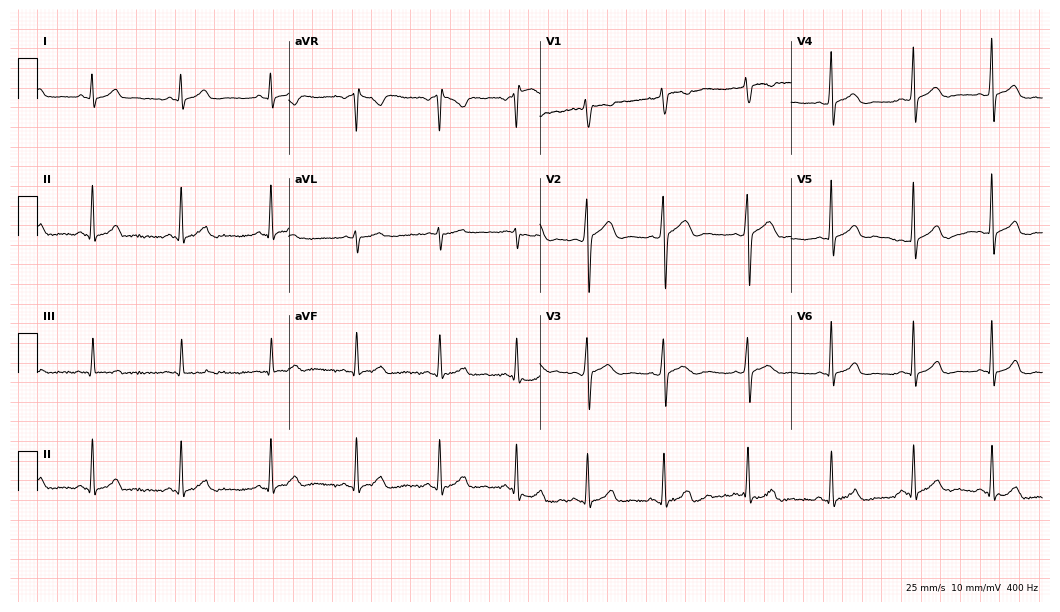
12-lead ECG (10.2-second recording at 400 Hz) from a 36-year-old female patient. Labelled as a normal ECG.